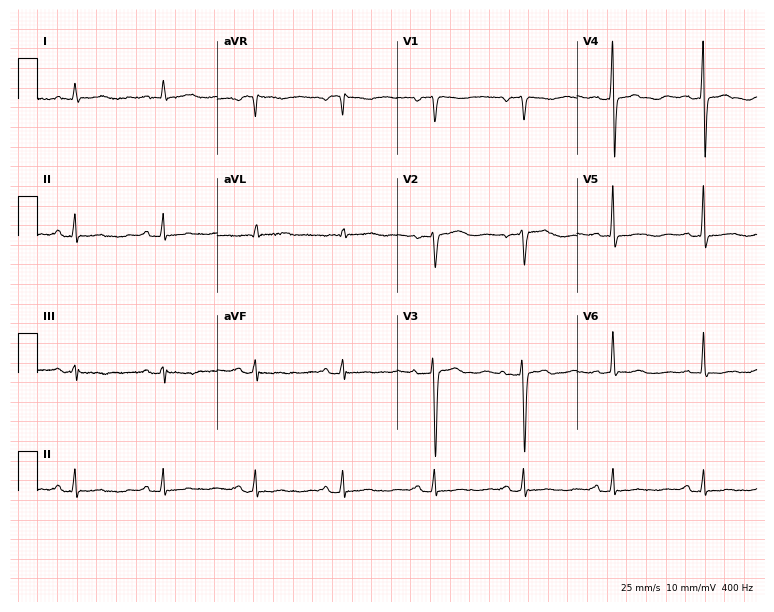
ECG (7.3-second recording at 400 Hz) — a 67-year-old female patient. Screened for six findings — first-degree AV block, right bundle branch block, left bundle branch block, sinus bradycardia, atrial fibrillation, sinus tachycardia — none is recorded.